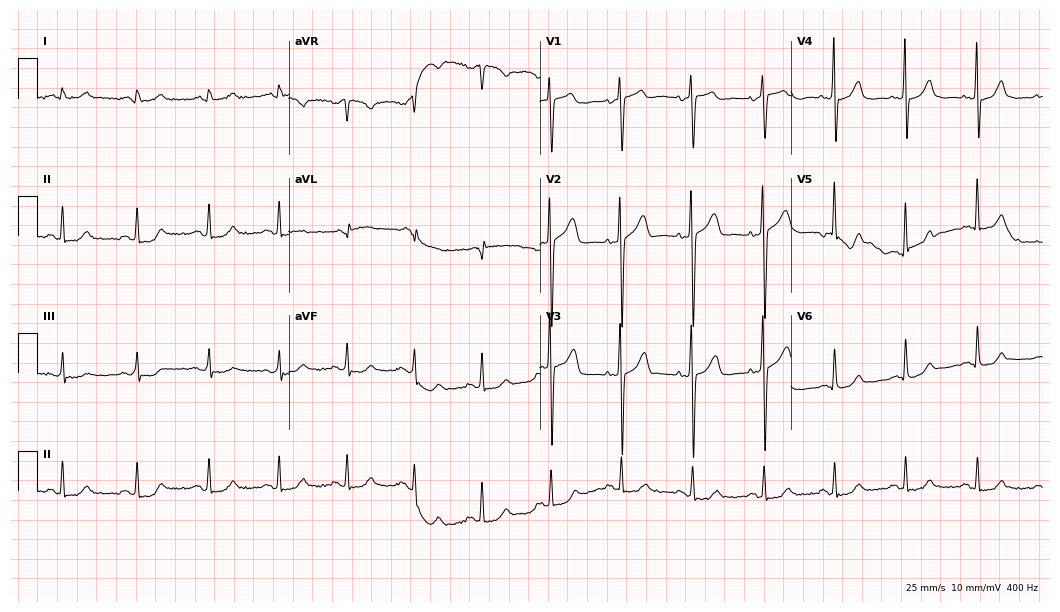
ECG (10.2-second recording at 400 Hz) — a man, 63 years old. Screened for six findings — first-degree AV block, right bundle branch block, left bundle branch block, sinus bradycardia, atrial fibrillation, sinus tachycardia — none is recorded.